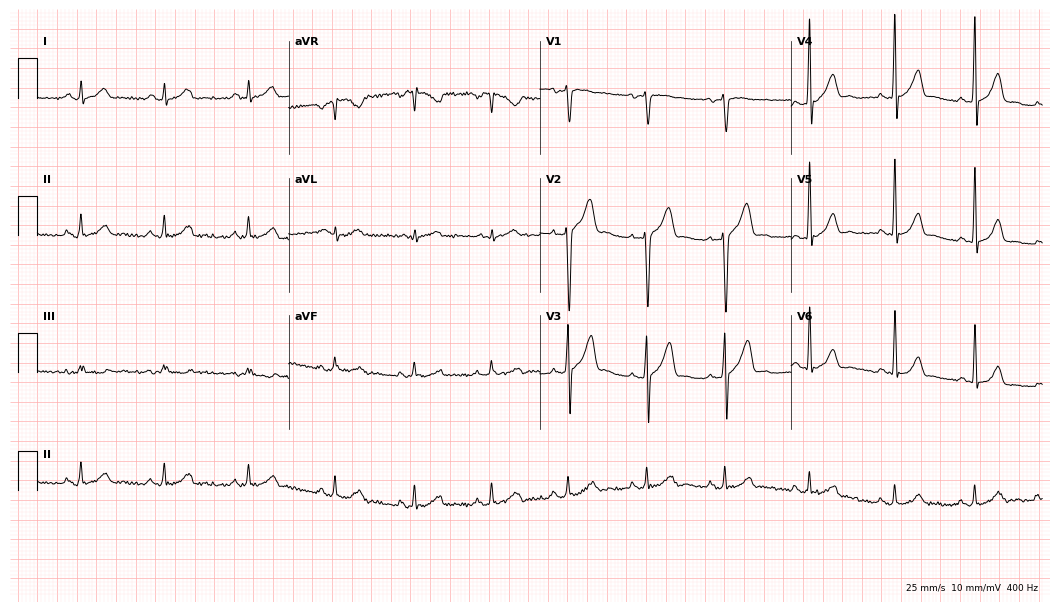
Resting 12-lead electrocardiogram (10.2-second recording at 400 Hz). Patient: a man, 31 years old. Read as a normal ECG.